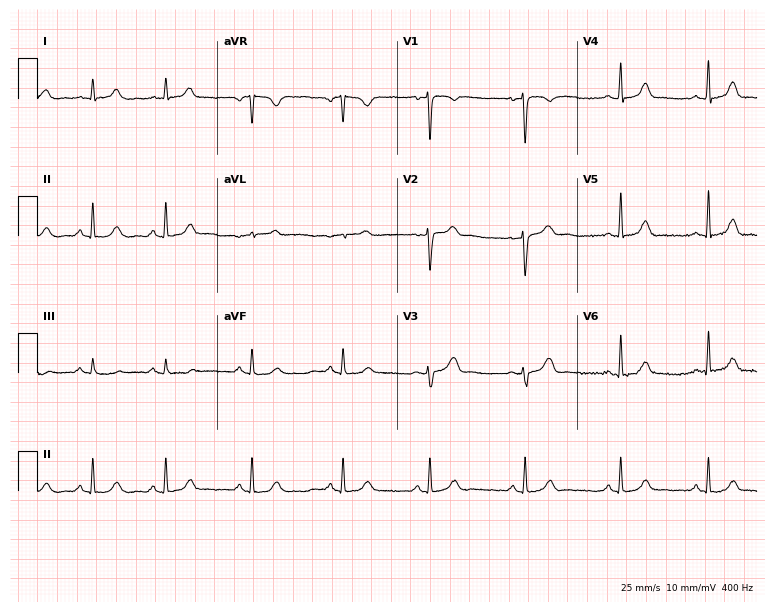
Electrocardiogram (7.3-second recording at 400 Hz), a female, 36 years old. Of the six screened findings (first-degree AV block, right bundle branch block, left bundle branch block, sinus bradycardia, atrial fibrillation, sinus tachycardia), none is recorded. Findings outside these six are not listed.